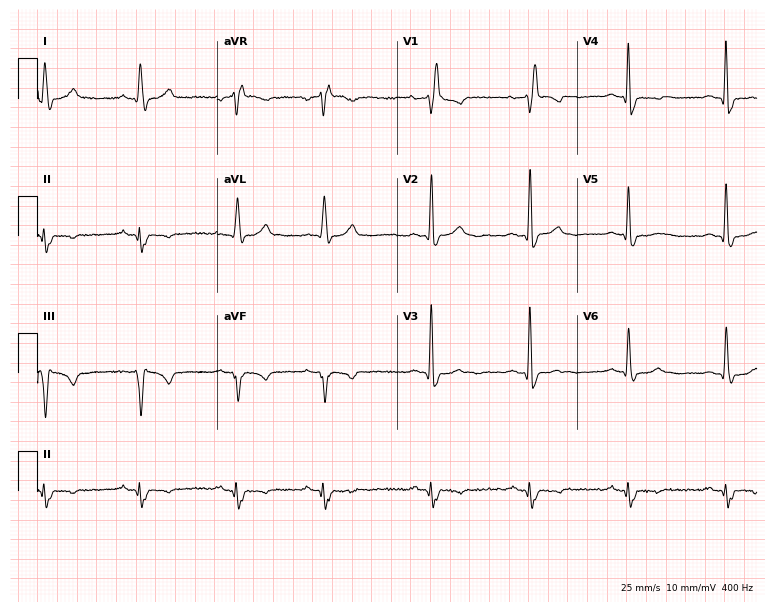
Electrocardiogram, an 80-year-old male. Interpretation includes right bundle branch block.